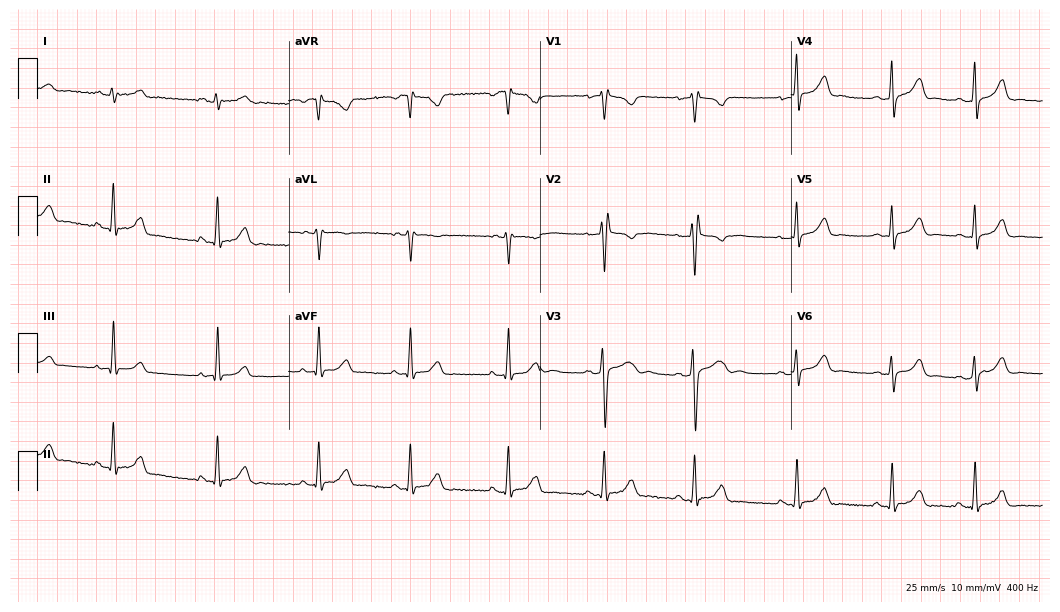
12-lead ECG from a 25-year-old female patient. Screened for six findings — first-degree AV block, right bundle branch block (RBBB), left bundle branch block (LBBB), sinus bradycardia, atrial fibrillation (AF), sinus tachycardia — none is recorded.